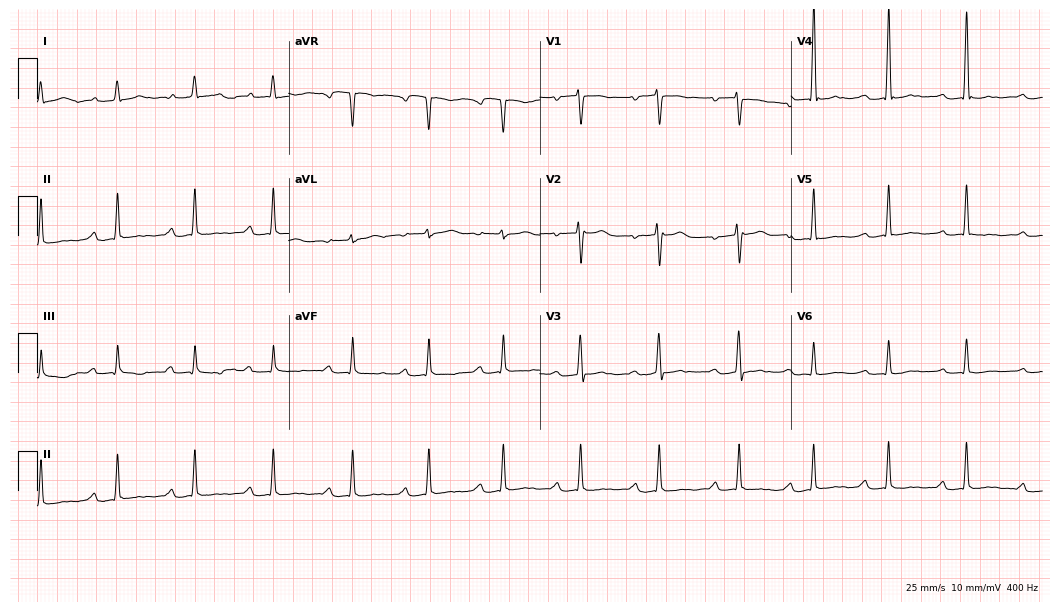
Resting 12-lead electrocardiogram (10.2-second recording at 400 Hz). Patient: a woman, 51 years old. The tracing shows first-degree AV block.